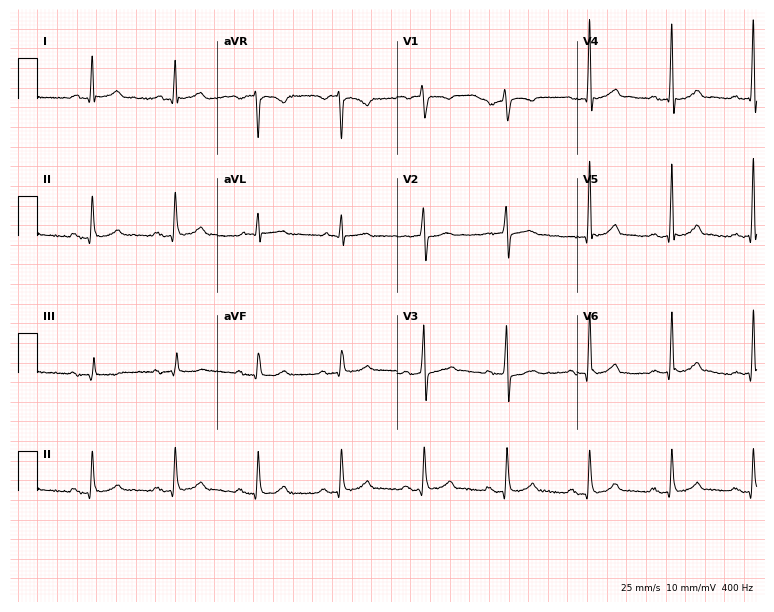
12-lead ECG from a man, 60 years old. Labelled as a normal ECG.